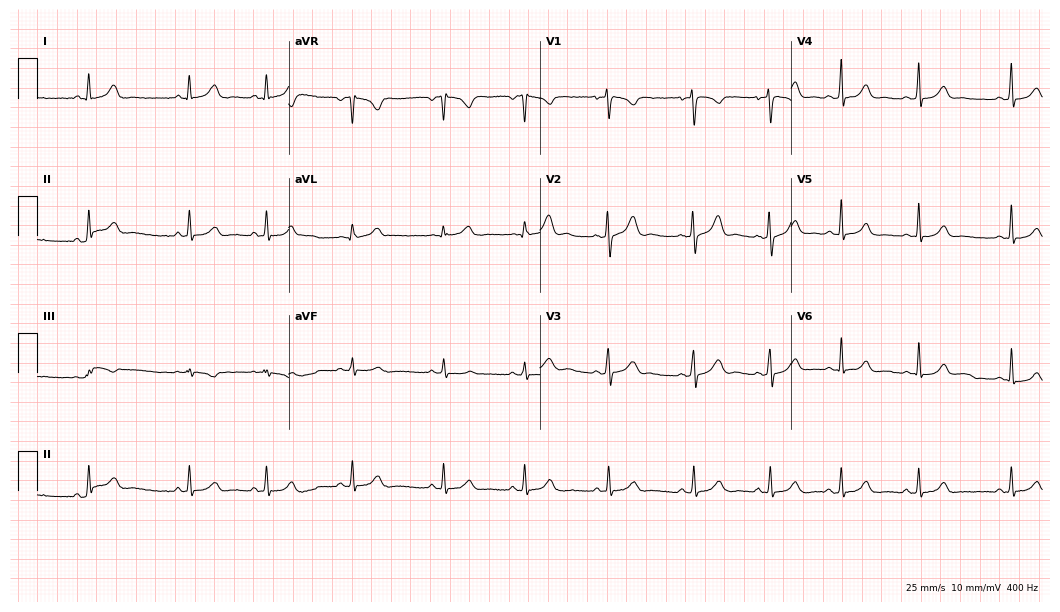
Electrocardiogram (10.2-second recording at 400 Hz), a female, 26 years old. Of the six screened findings (first-degree AV block, right bundle branch block (RBBB), left bundle branch block (LBBB), sinus bradycardia, atrial fibrillation (AF), sinus tachycardia), none is recorded.